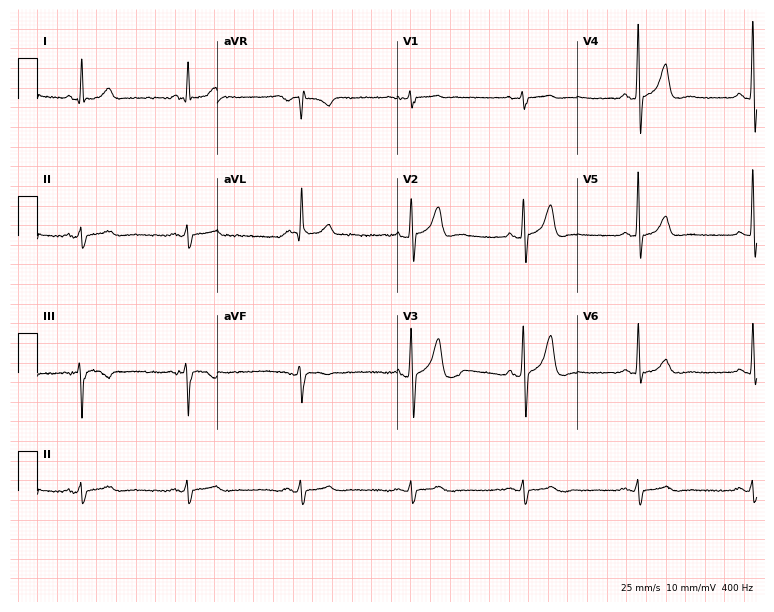
Electrocardiogram, a 59-year-old man. Of the six screened findings (first-degree AV block, right bundle branch block, left bundle branch block, sinus bradycardia, atrial fibrillation, sinus tachycardia), none is recorded. Other findings, if any, are not listed.